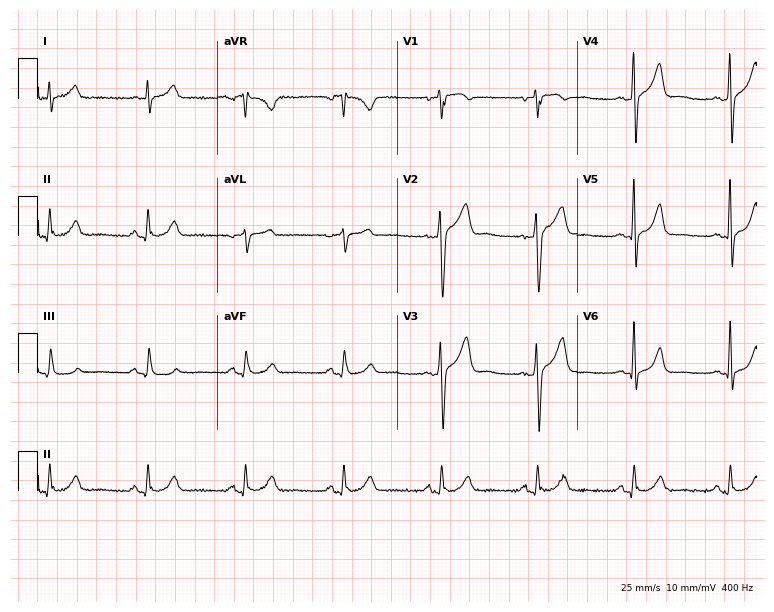
ECG — a male patient, 41 years old. Labelled as a normal ECG.